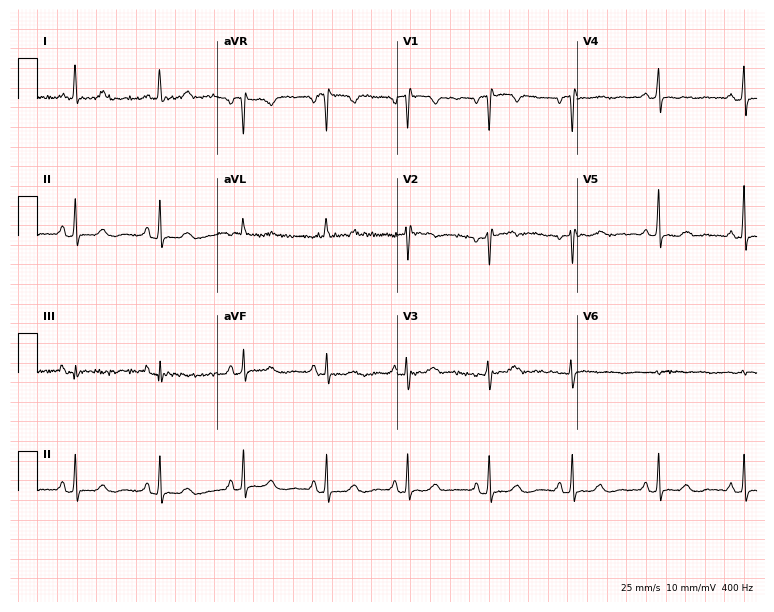
Resting 12-lead electrocardiogram. Patient: a 51-year-old female. Read as a normal ECG.